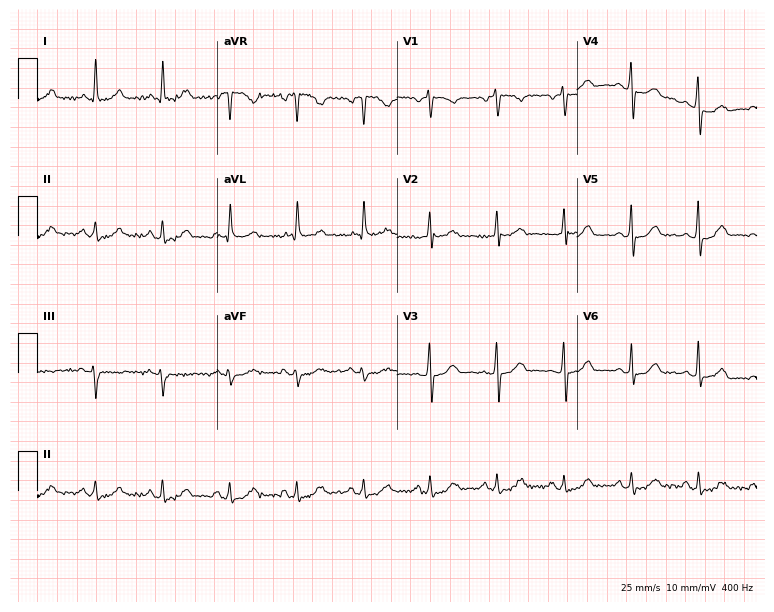
Standard 12-lead ECG recorded from an 80-year-old woman. None of these six findings is recorded: first-degree AV block, right bundle branch block (RBBB), left bundle branch block (LBBB), sinus bradycardia, atrial fibrillation (AF), sinus tachycardia.